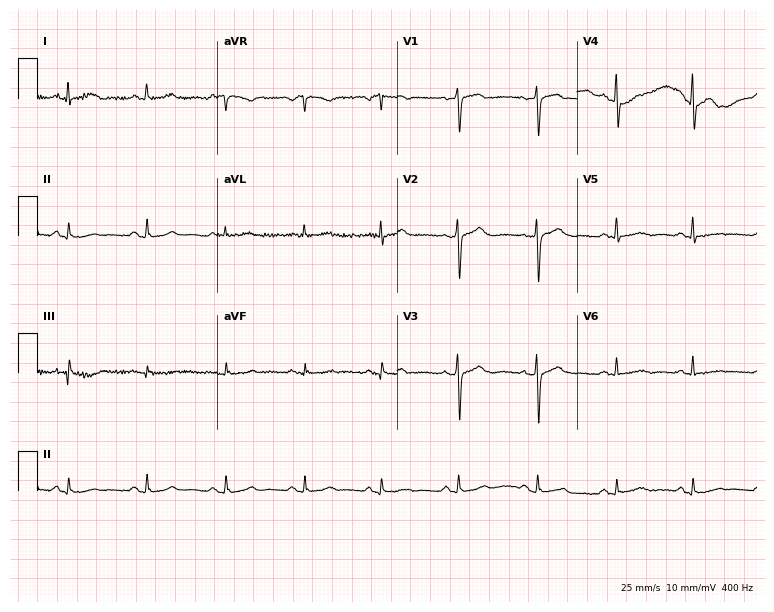
12-lead ECG (7.3-second recording at 400 Hz) from a 54-year-old woman. Labelled as a normal ECG.